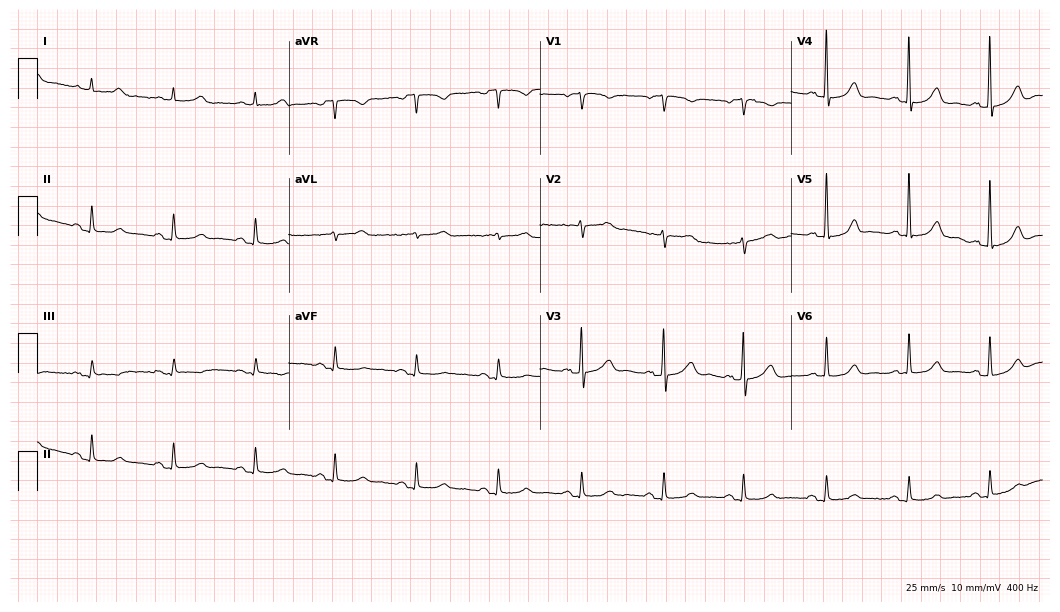
12-lead ECG from a woman, 76 years old. No first-degree AV block, right bundle branch block (RBBB), left bundle branch block (LBBB), sinus bradycardia, atrial fibrillation (AF) or sinus tachycardia recorded for this tracing.